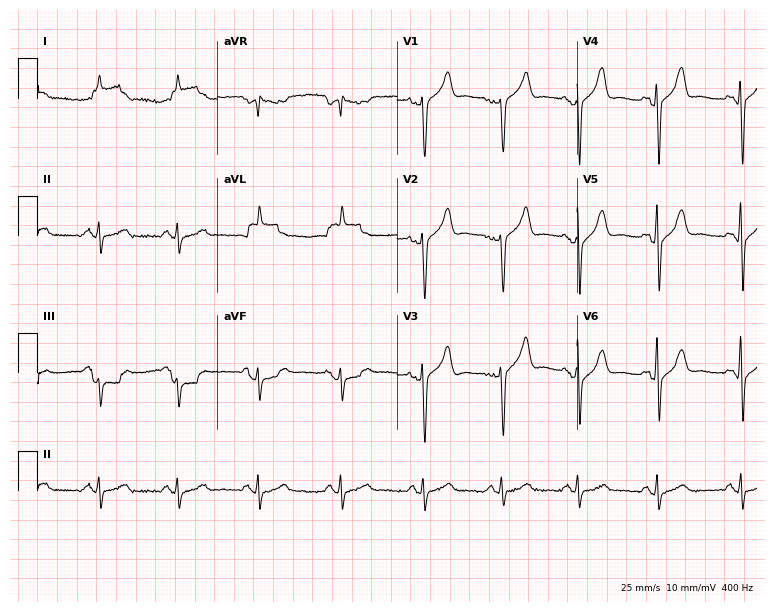
12-lead ECG from a male, 72 years old (7.3-second recording at 400 Hz). No first-degree AV block, right bundle branch block, left bundle branch block, sinus bradycardia, atrial fibrillation or sinus tachycardia recorded for this tracing. Other findings, if any, are not listed.